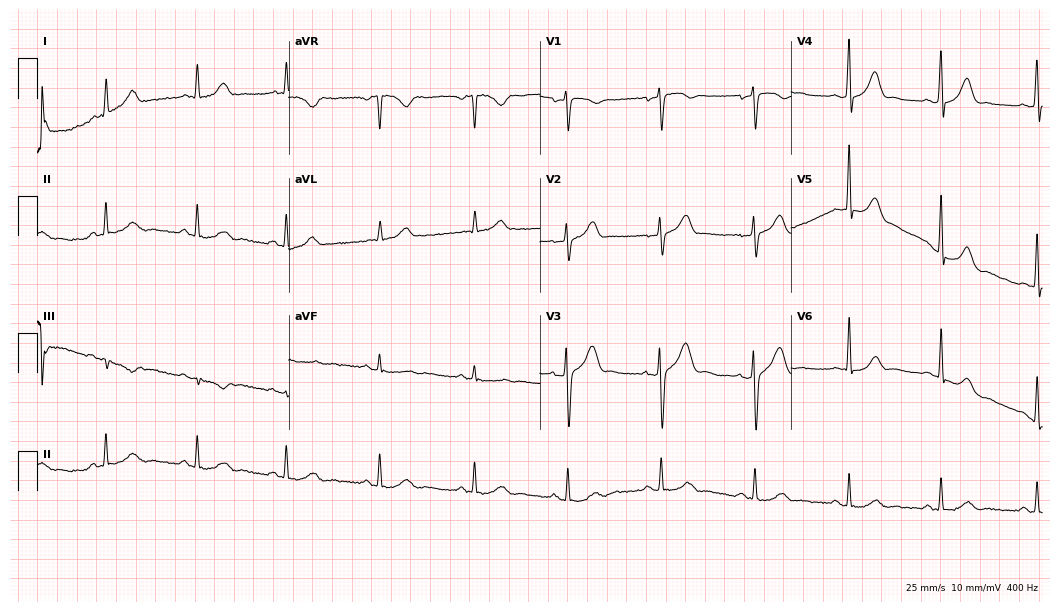
ECG (10.2-second recording at 400 Hz) — a 50-year-old man. Screened for six findings — first-degree AV block, right bundle branch block (RBBB), left bundle branch block (LBBB), sinus bradycardia, atrial fibrillation (AF), sinus tachycardia — none is recorded.